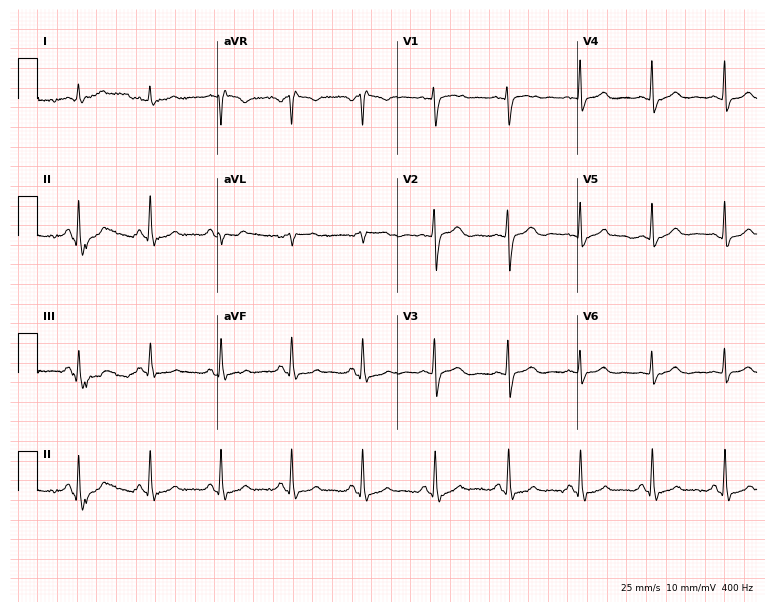
Electrocardiogram (7.3-second recording at 400 Hz), a 44-year-old female. Overall reading on record: normal ECG.